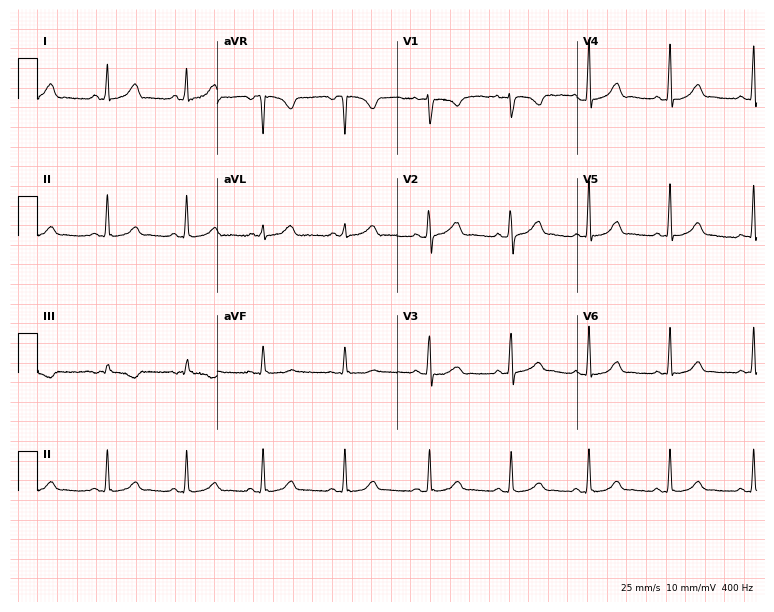
Electrocardiogram, a 38-year-old female patient. Overall reading on record: normal ECG.